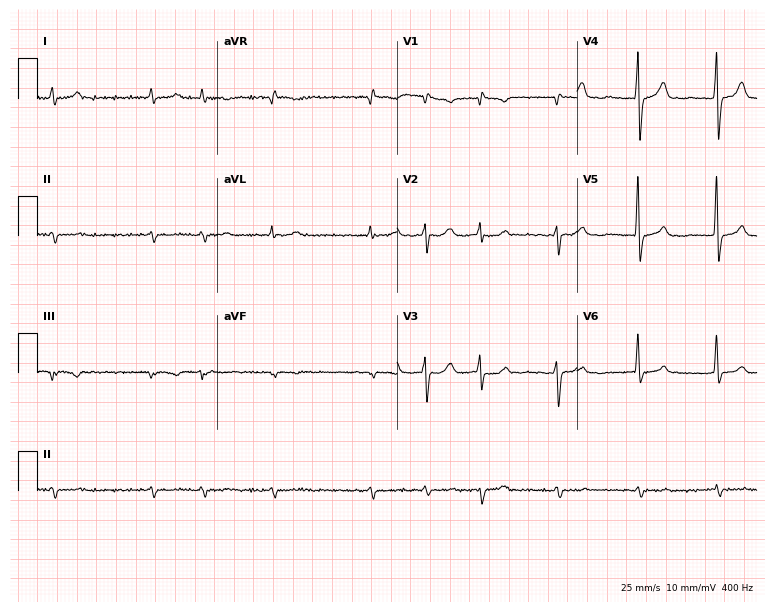
12-lead ECG from a 73-year-old male patient. Shows atrial fibrillation (AF).